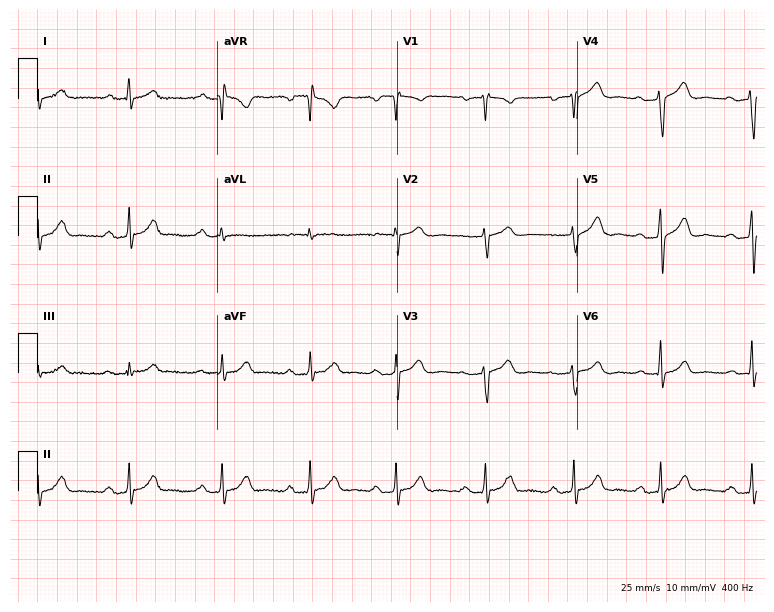
12-lead ECG (7.3-second recording at 400 Hz) from a 60-year-old female. Findings include first-degree AV block.